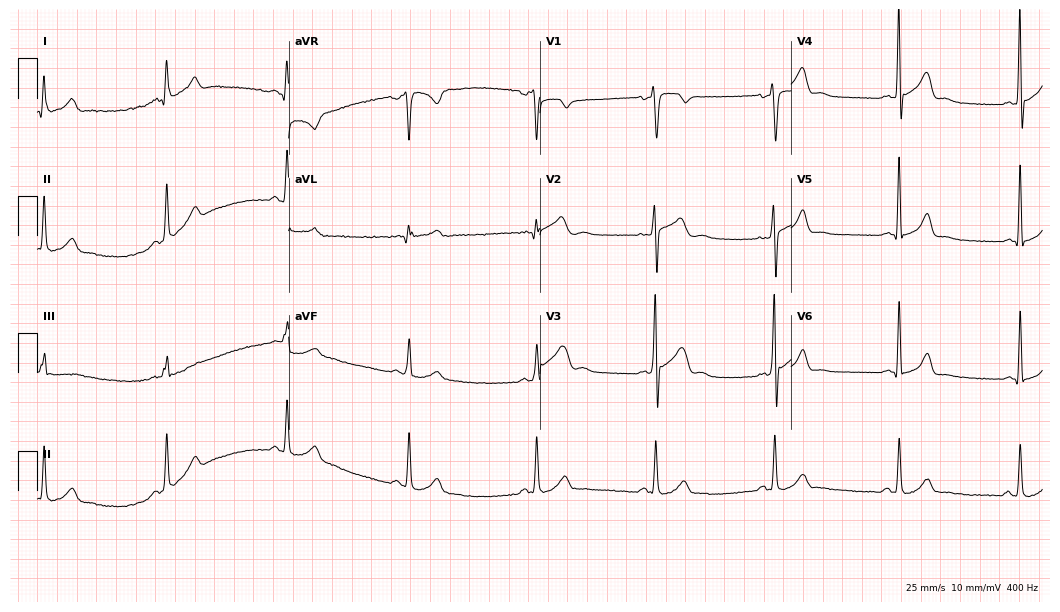
12-lead ECG from a male, 33 years old (10.2-second recording at 400 Hz). Shows sinus bradycardia (a sinus rate of 50 beats per minute or less).